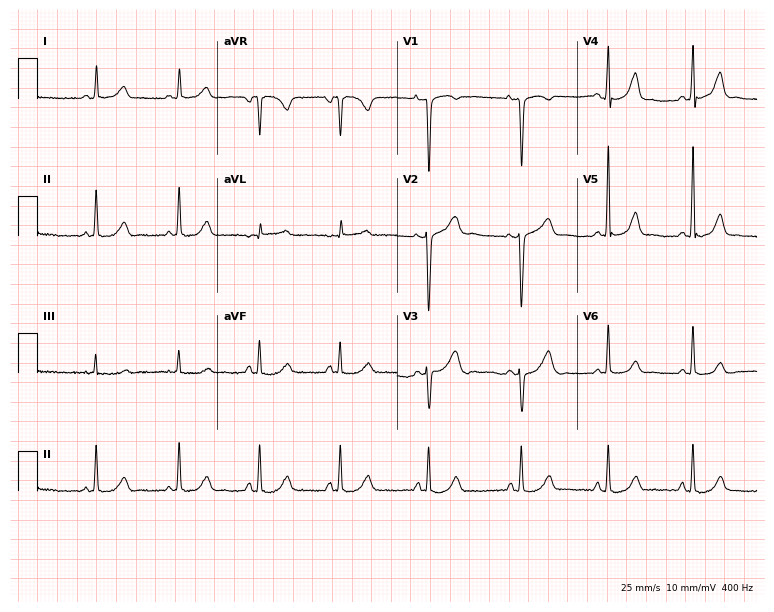
12-lead ECG from a 47-year-old female patient. Screened for six findings — first-degree AV block, right bundle branch block, left bundle branch block, sinus bradycardia, atrial fibrillation, sinus tachycardia — none is recorded. Findings outside these six are not listed.